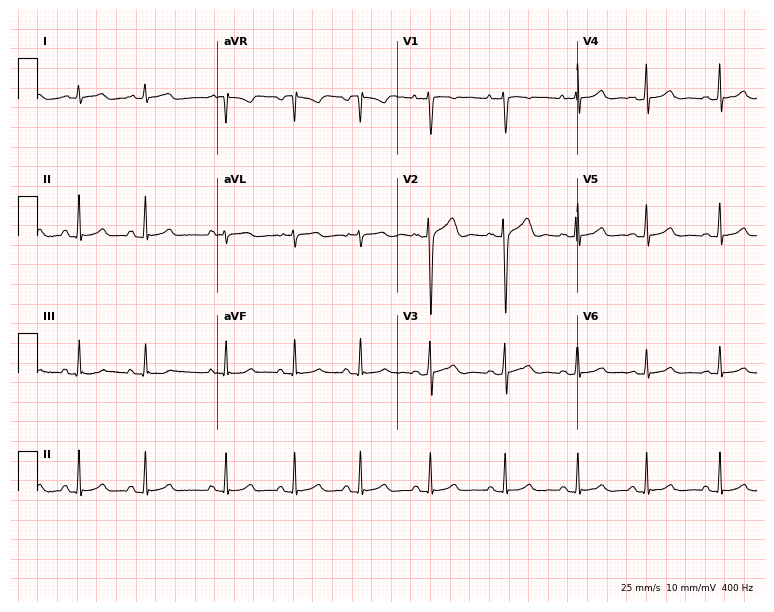
ECG — a woman, 19 years old. Labelled as a normal ECG.